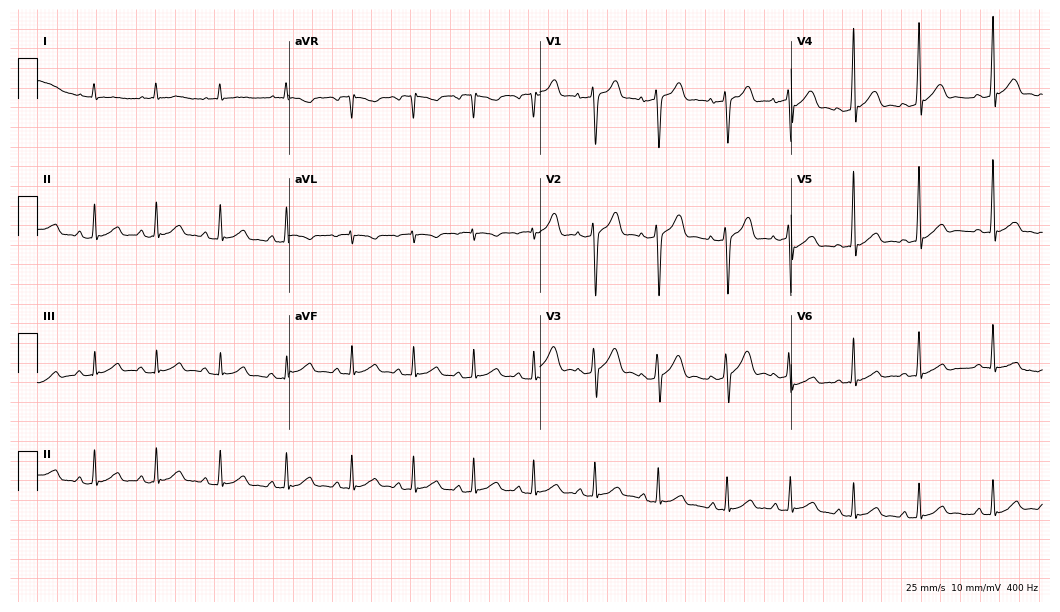
12-lead ECG from a 17-year-old male patient. Labelled as a normal ECG.